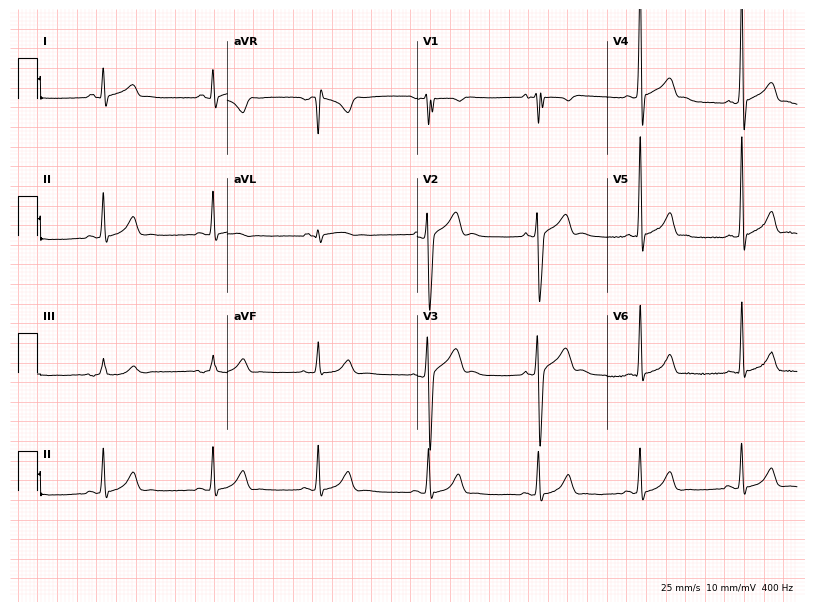
12-lead ECG from a 37-year-old male patient. Screened for six findings — first-degree AV block, right bundle branch block, left bundle branch block, sinus bradycardia, atrial fibrillation, sinus tachycardia — none is recorded.